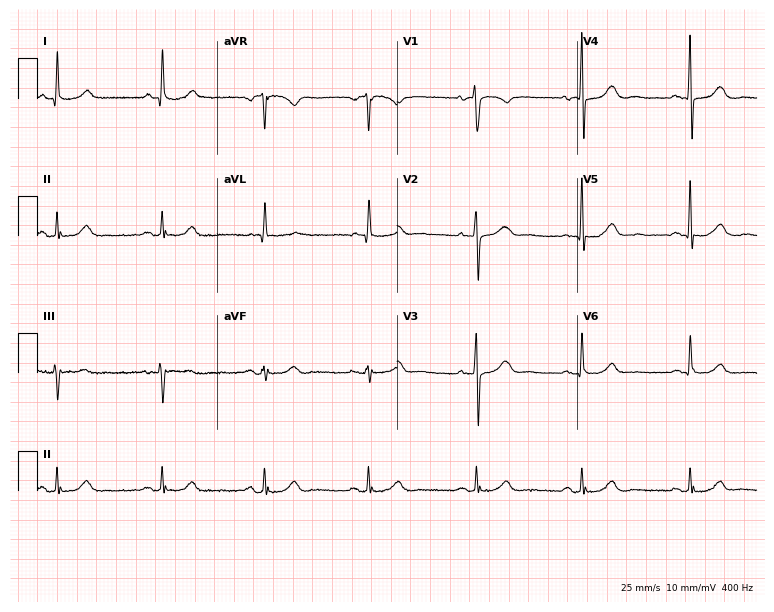
Electrocardiogram, a female patient, 47 years old. Overall reading on record: normal ECG.